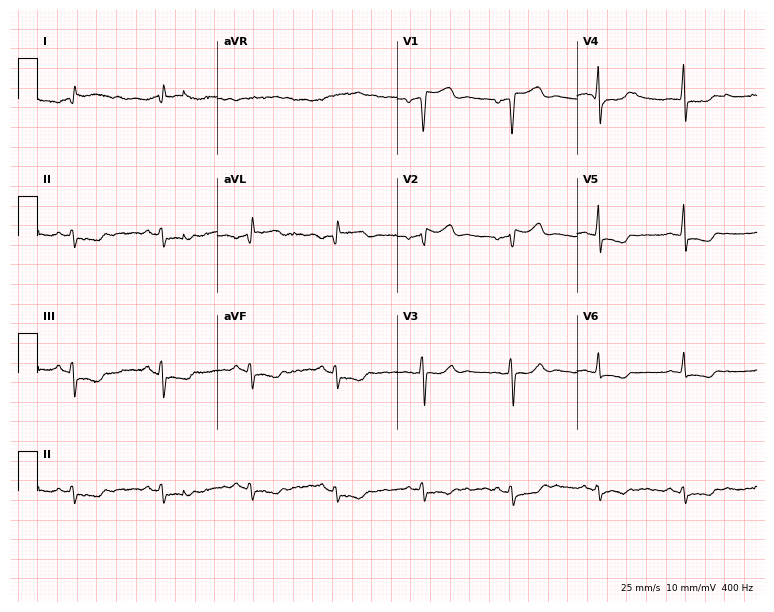
Electrocardiogram (7.3-second recording at 400 Hz), a woman, 43 years old. Of the six screened findings (first-degree AV block, right bundle branch block, left bundle branch block, sinus bradycardia, atrial fibrillation, sinus tachycardia), none is recorded. Other findings, if any, are not listed.